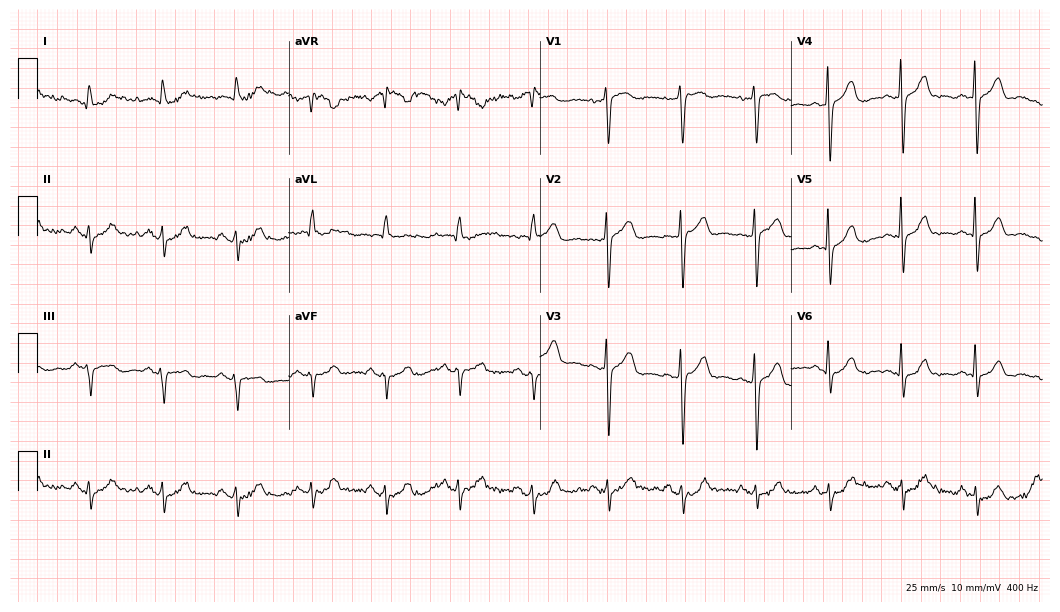
ECG — a man, 73 years old. Screened for six findings — first-degree AV block, right bundle branch block (RBBB), left bundle branch block (LBBB), sinus bradycardia, atrial fibrillation (AF), sinus tachycardia — none is recorded.